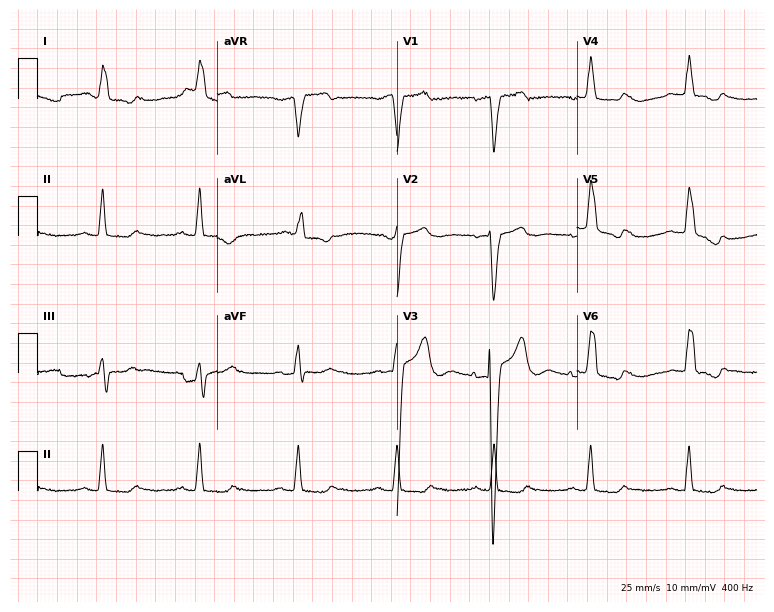
12-lead ECG from an 85-year-old female patient. Findings include left bundle branch block.